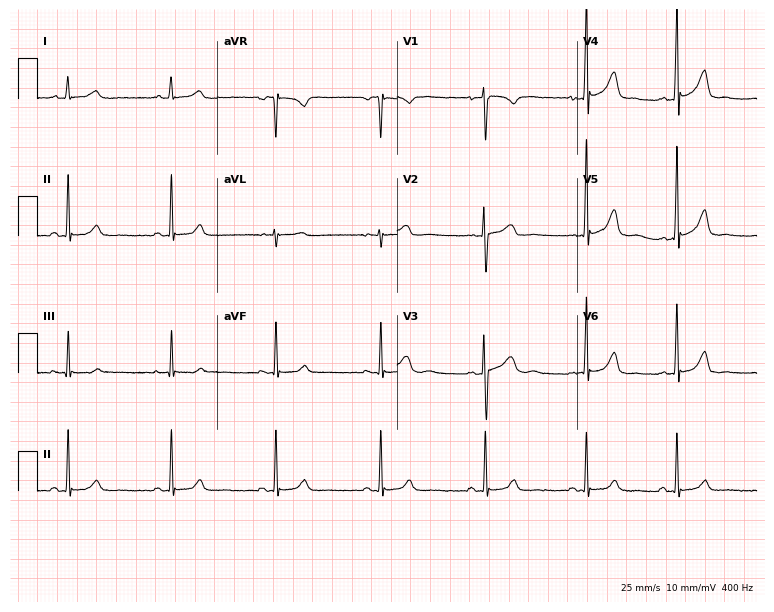
Standard 12-lead ECG recorded from a female, 18 years old. Read as a normal ECG.